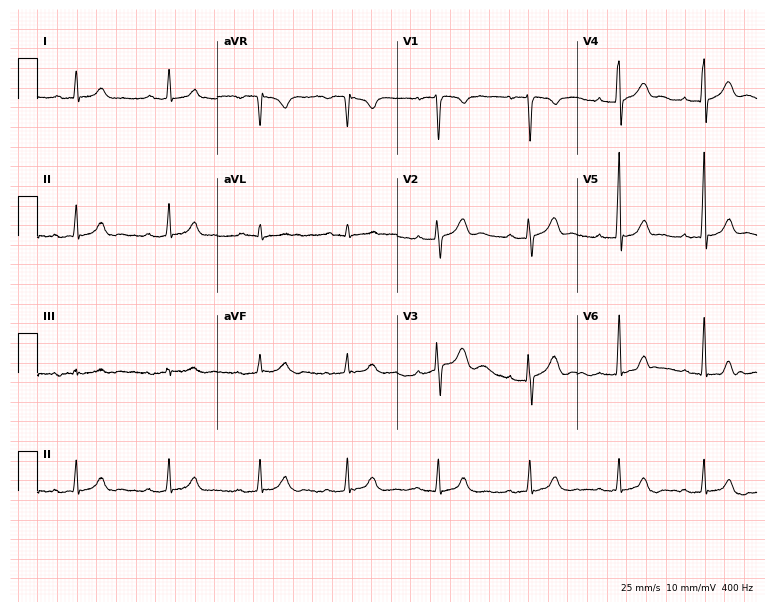
ECG (7.3-second recording at 400 Hz) — a 37-year-old male. Labelled as a normal ECG.